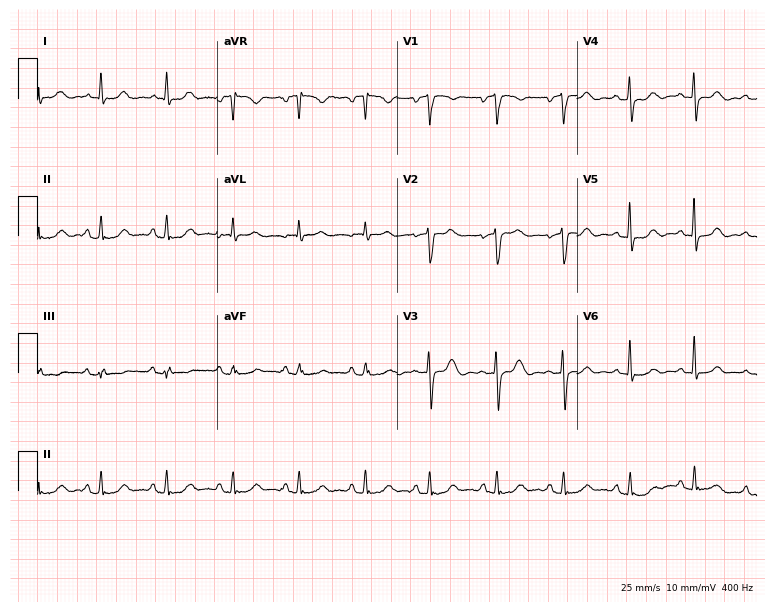
Standard 12-lead ECG recorded from a 61-year-old female patient. None of these six findings is recorded: first-degree AV block, right bundle branch block (RBBB), left bundle branch block (LBBB), sinus bradycardia, atrial fibrillation (AF), sinus tachycardia.